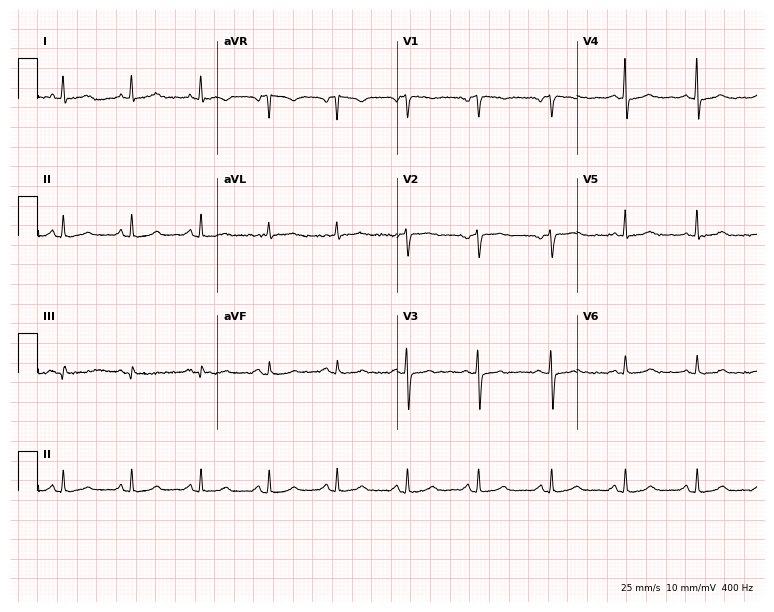
Electrocardiogram, a female patient, 58 years old. Overall reading on record: normal ECG.